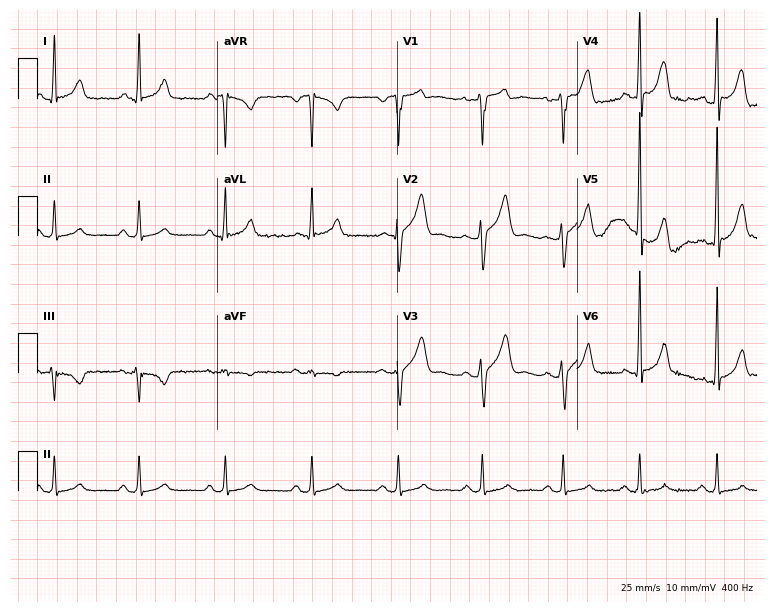
Resting 12-lead electrocardiogram. Patient: a male, 44 years old. Read as a normal ECG.